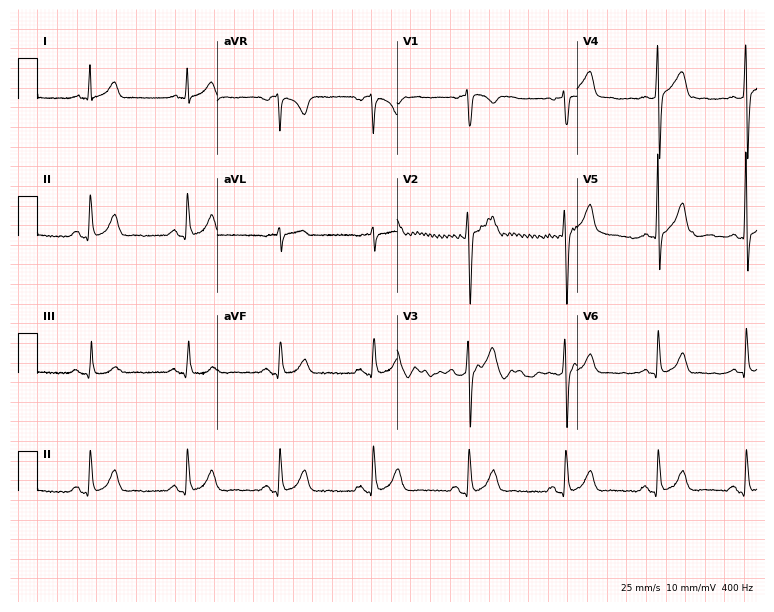
Resting 12-lead electrocardiogram. Patient: a man, 39 years old. Read as a normal ECG.